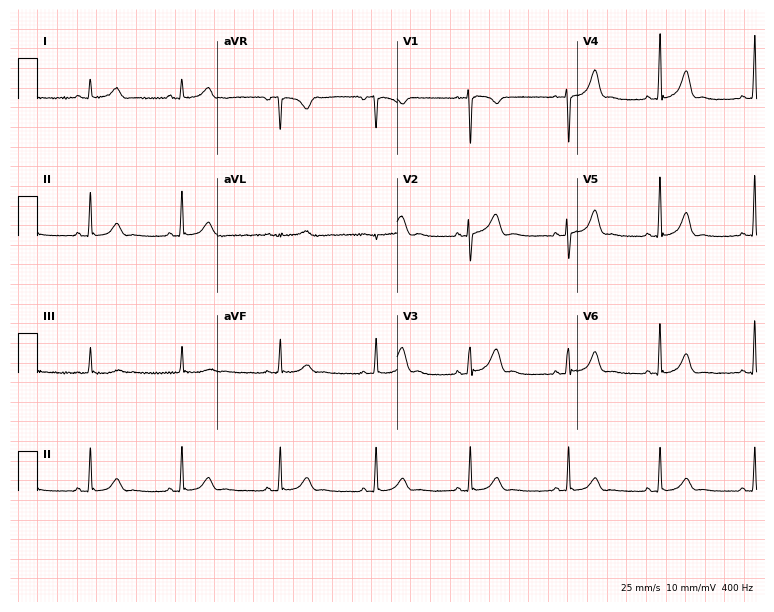
Standard 12-lead ECG recorded from a female, 20 years old (7.3-second recording at 400 Hz). Read as a normal ECG.